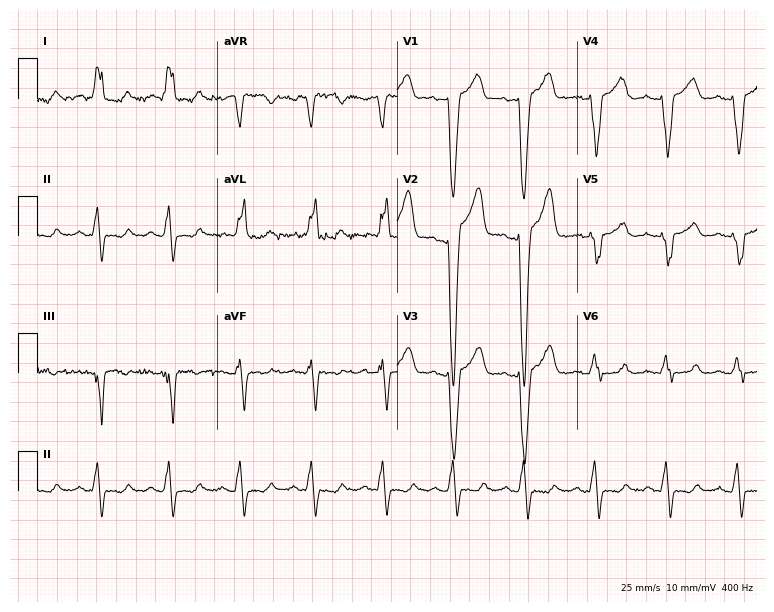
Resting 12-lead electrocardiogram (7.3-second recording at 400 Hz). Patient: a 64-year-old female. The tracing shows left bundle branch block.